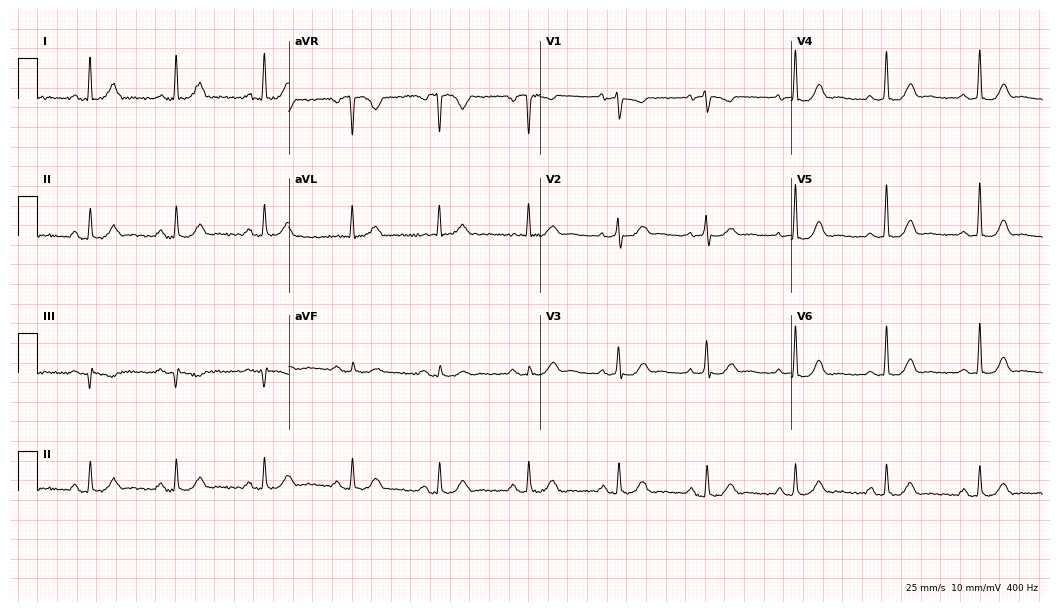
Standard 12-lead ECG recorded from a woman, 51 years old. None of these six findings is recorded: first-degree AV block, right bundle branch block, left bundle branch block, sinus bradycardia, atrial fibrillation, sinus tachycardia.